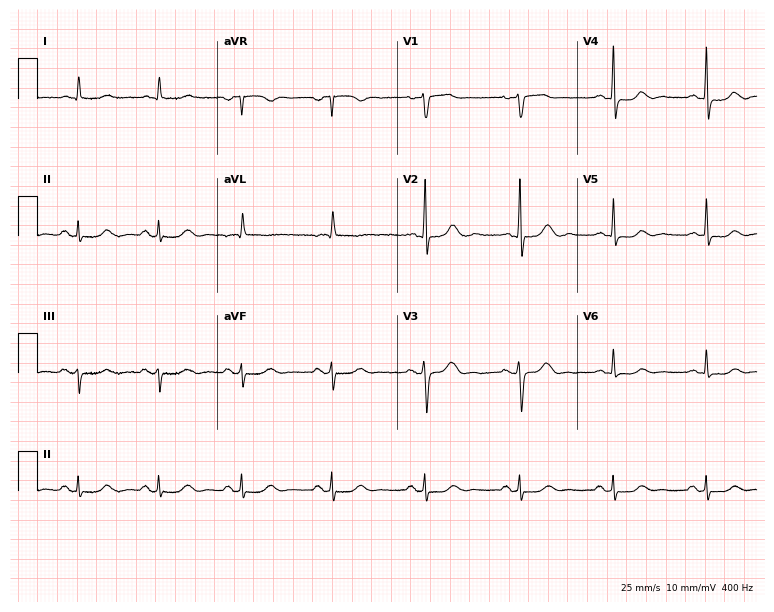
12-lead ECG from a woman, 71 years old (7.3-second recording at 400 Hz). Recorded interpretation: within normal limits.